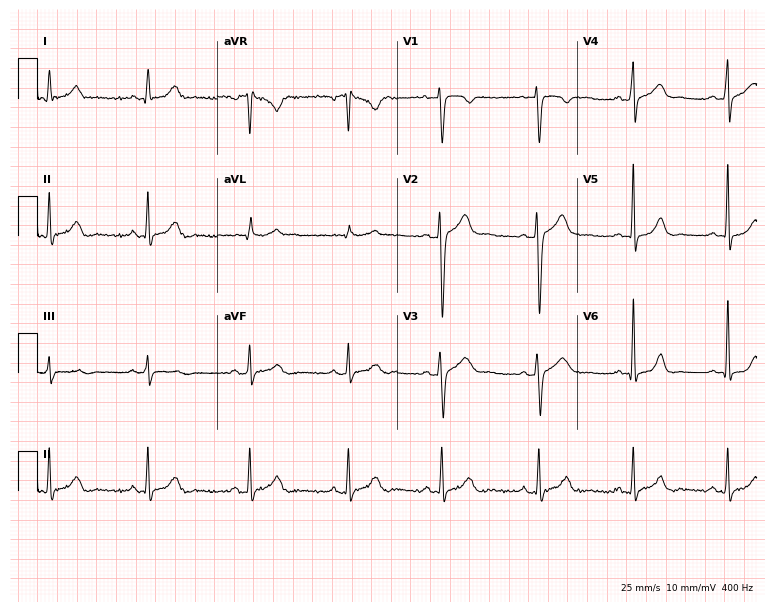
12-lead ECG (7.3-second recording at 400 Hz) from a male, 33 years old. Labelled as a normal ECG.